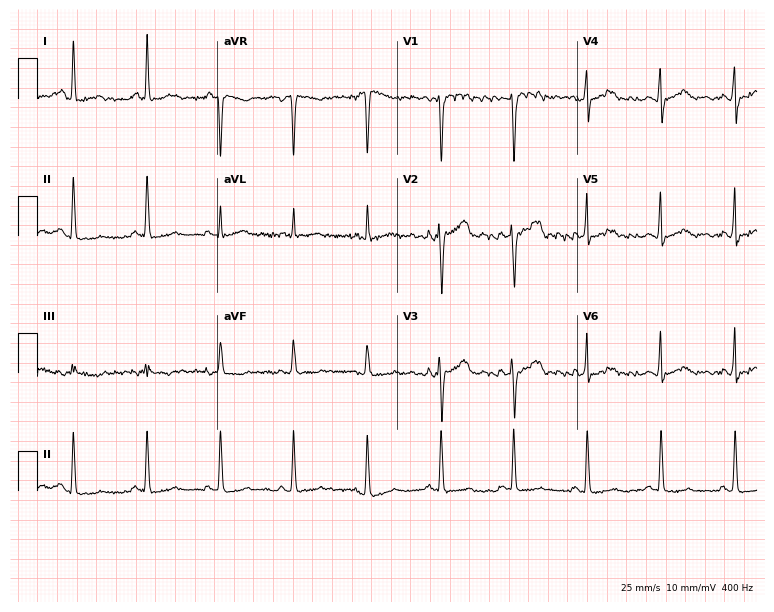
Electrocardiogram (7.3-second recording at 400 Hz), a 37-year-old female patient. Overall reading on record: normal ECG.